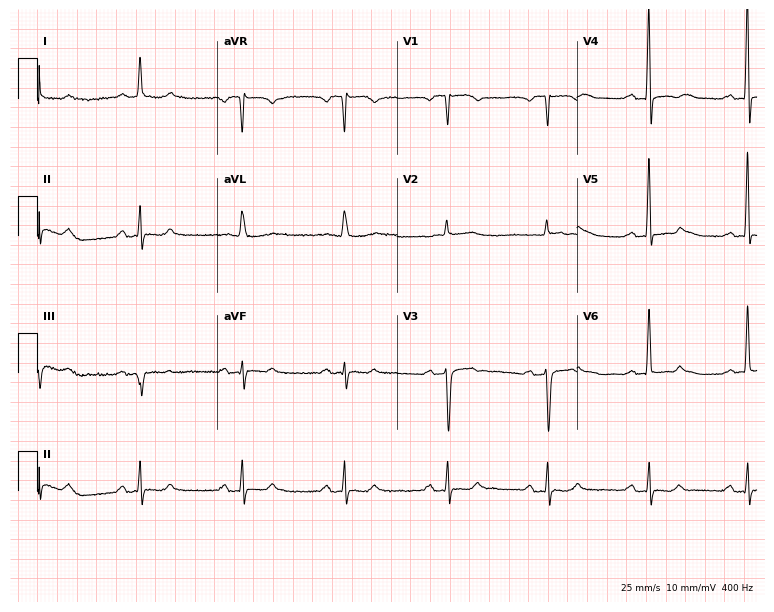
12-lead ECG from a 60-year-old male patient (7.3-second recording at 400 Hz). No first-degree AV block, right bundle branch block (RBBB), left bundle branch block (LBBB), sinus bradycardia, atrial fibrillation (AF) or sinus tachycardia recorded for this tracing.